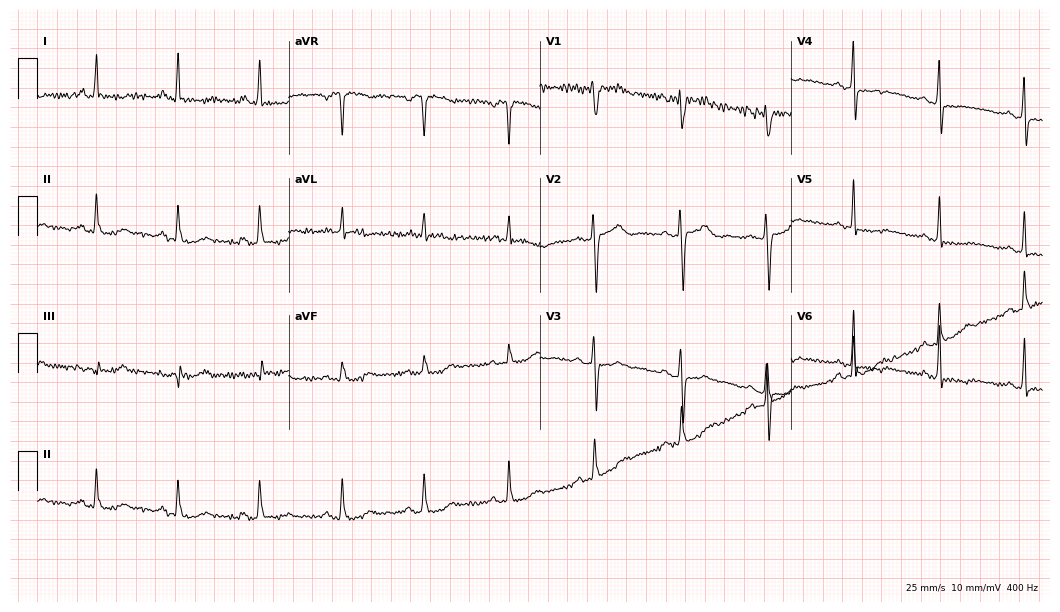
ECG — a 62-year-old female. Screened for six findings — first-degree AV block, right bundle branch block, left bundle branch block, sinus bradycardia, atrial fibrillation, sinus tachycardia — none is recorded. Findings outside these six are not listed.